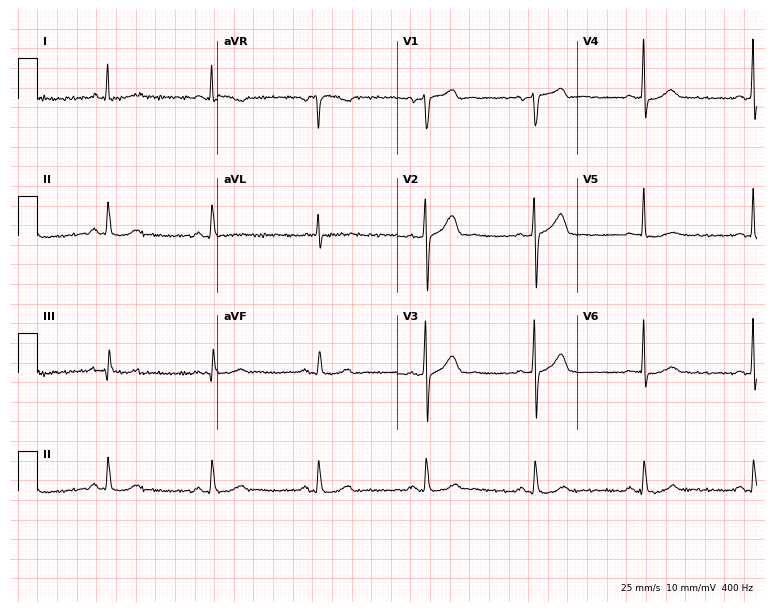
Resting 12-lead electrocardiogram. Patient: a male, 51 years old. Read as a normal ECG.